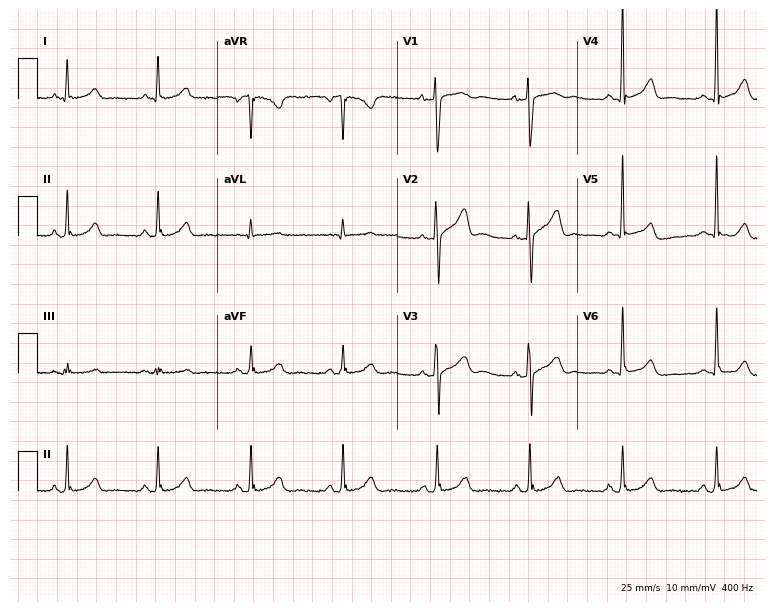
12-lead ECG from a 56-year-old female patient. Labelled as a normal ECG.